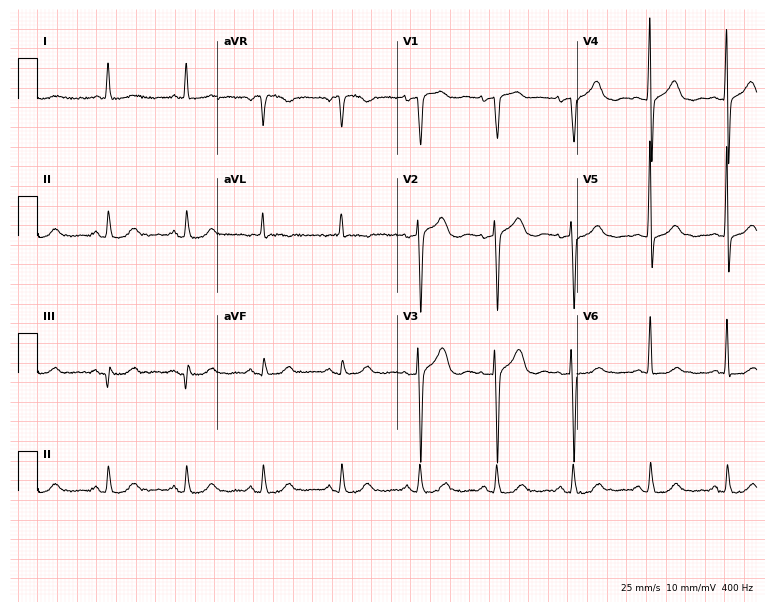
ECG — a woman, 78 years old. Screened for six findings — first-degree AV block, right bundle branch block, left bundle branch block, sinus bradycardia, atrial fibrillation, sinus tachycardia — none is recorded. Other findings, if any, are not listed.